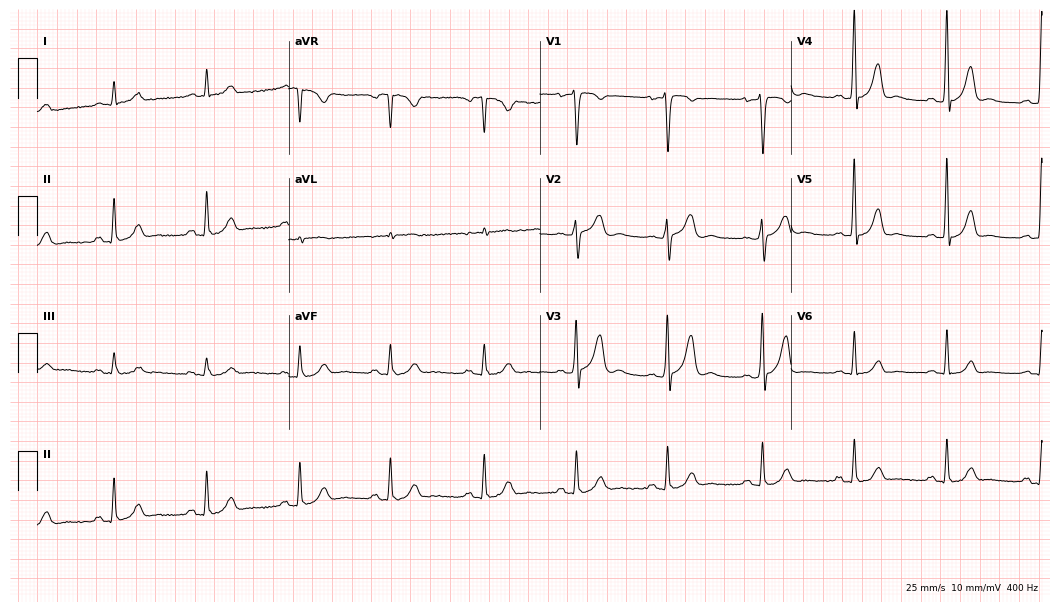
12-lead ECG from a 40-year-old man. Screened for six findings — first-degree AV block, right bundle branch block, left bundle branch block, sinus bradycardia, atrial fibrillation, sinus tachycardia — none is recorded.